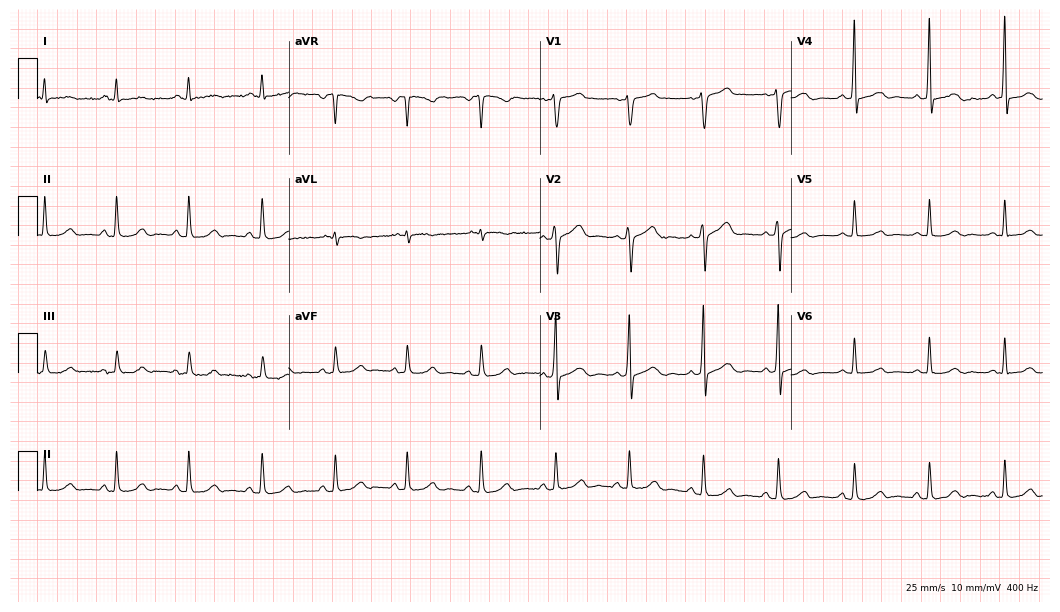
ECG (10.2-second recording at 400 Hz) — a male, 62 years old. Labelled as a normal ECG.